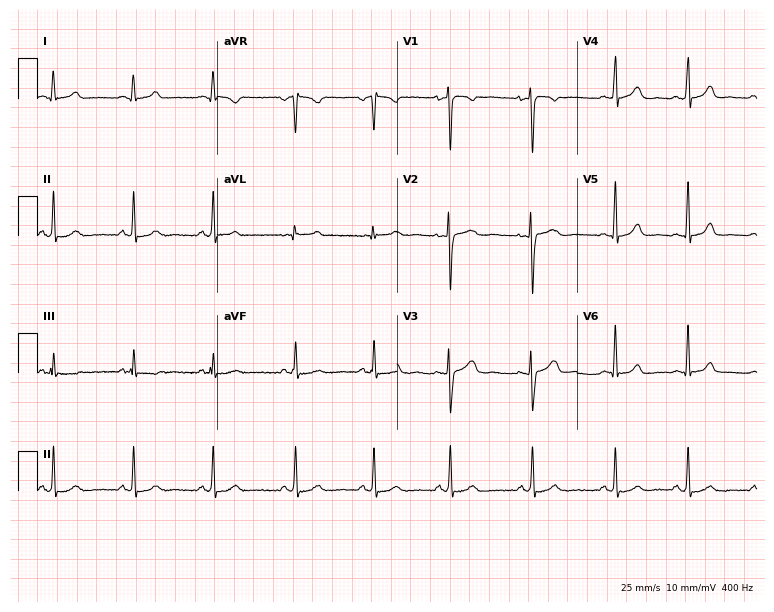
Electrocardiogram, a woman, 21 years old. Of the six screened findings (first-degree AV block, right bundle branch block (RBBB), left bundle branch block (LBBB), sinus bradycardia, atrial fibrillation (AF), sinus tachycardia), none is recorded.